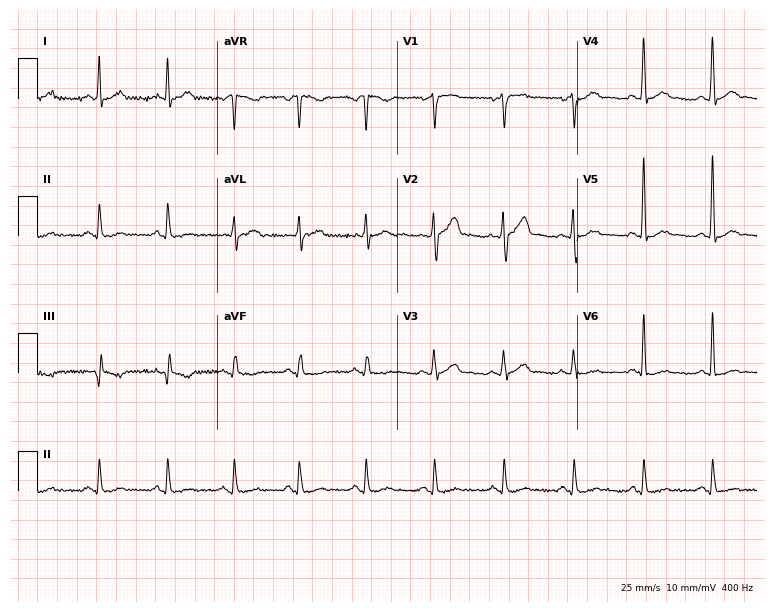
Standard 12-lead ECG recorded from a 43-year-old male (7.3-second recording at 400 Hz). None of these six findings is recorded: first-degree AV block, right bundle branch block, left bundle branch block, sinus bradycardia, atrial fibrillation, sinus tachycardia.